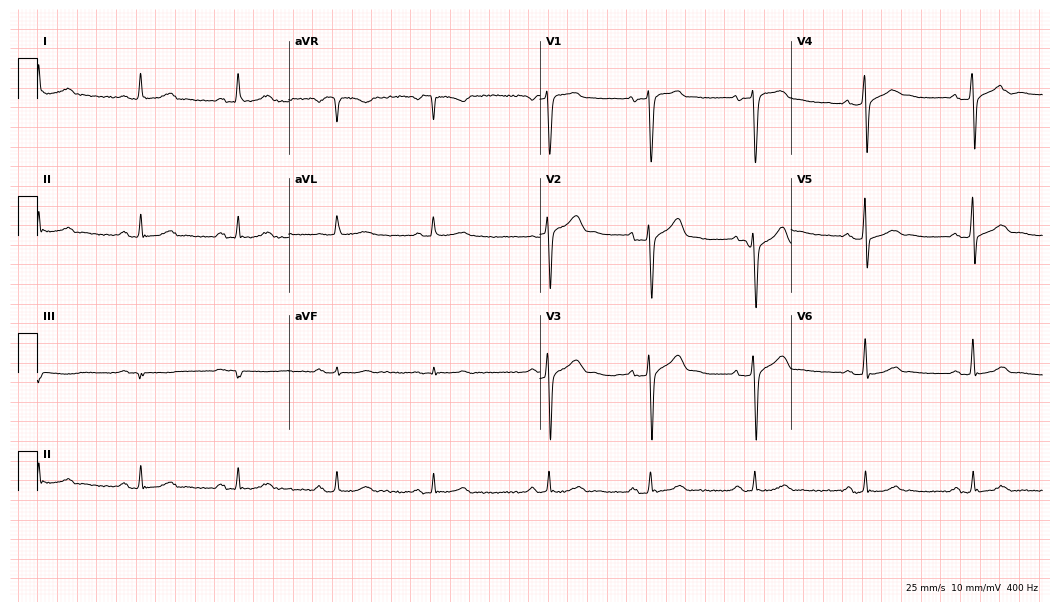
ECG (10.2-second recording at 400 Hz) — a male, 70 years old. Screened for six findings — first-degree AV block, right bundle branch block (RBBB), left bundle branch block (LBBB), sinus bradycardia, atrial fibrillation (AF), sinus tachycardia — none is recorded.